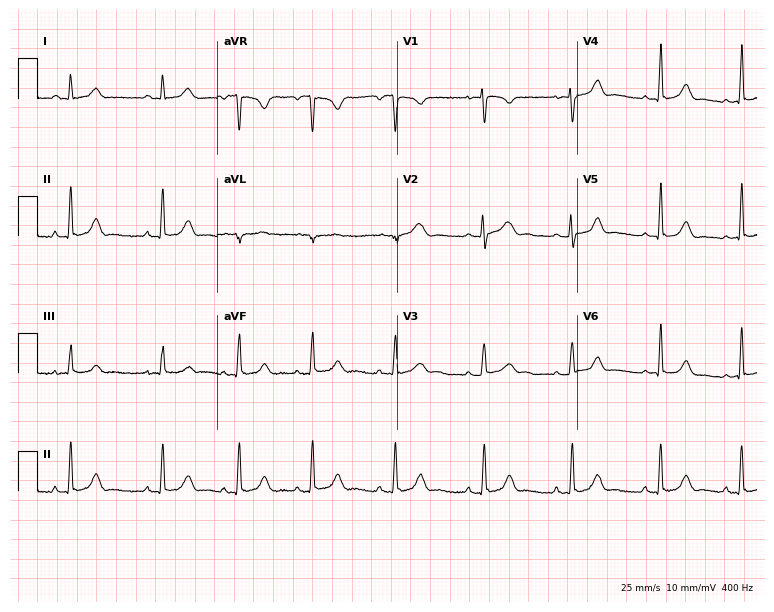
12-lead ECG from a female patient, 18 years old. Labelled as a normal ECG.